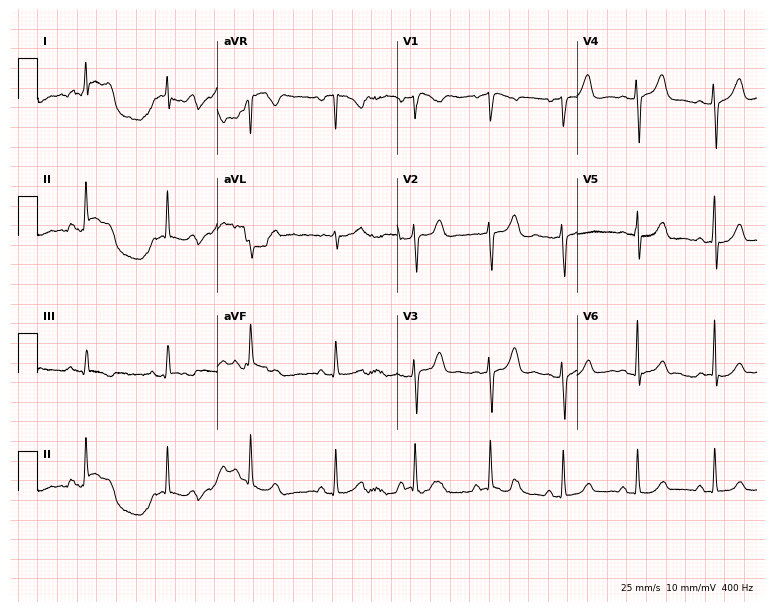
Electrocardiogram, a woman, 47 years old. Of the six screened findings (first-degree AV block, right bundle branch block, left bundle branch block, sinus bradycardia, atrial fibrillation, sinus tachycardia), none is recorded. Findings outside these six are not listed.